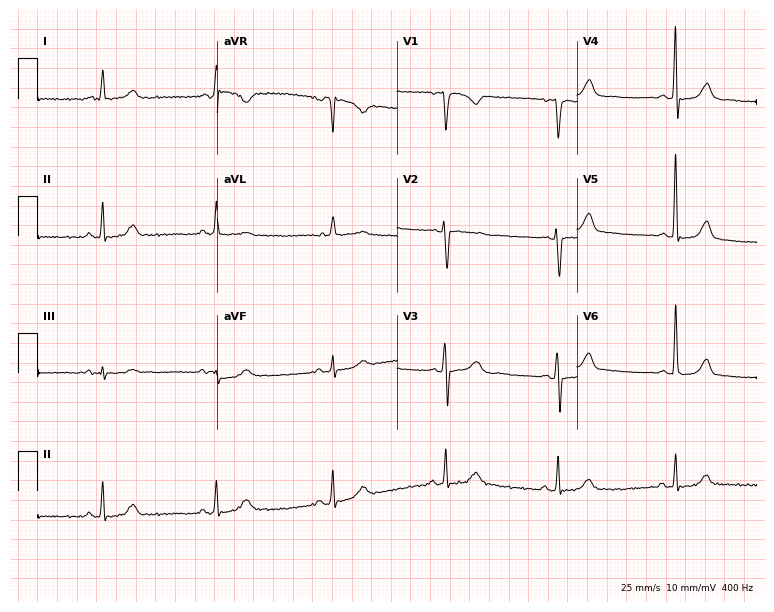
12-lead ECG from a 73-year-old female patient. No first-degree AV block, right bundle branch block, left bundle branch block, sinus bradycardia, atrial fibrillation or sinus tachycardia recorded for this tracing.